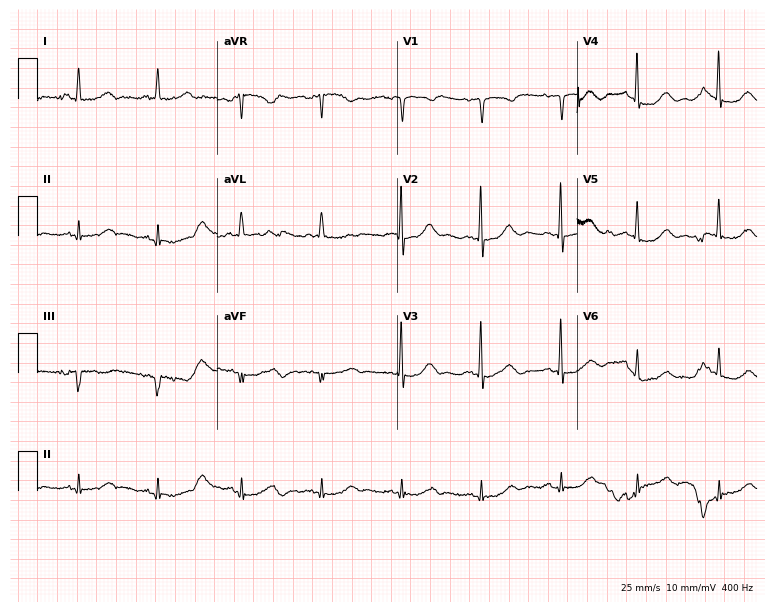
Electrocardiogram, a female patient, 76 years old. Of the six screened findings (first-degree AV block, right bundle branch block (RBBB), left bundle branch block (LBBB), sinus bradycardia, atrial fibrillation (AF), sinus tachycardia), none is recorded.